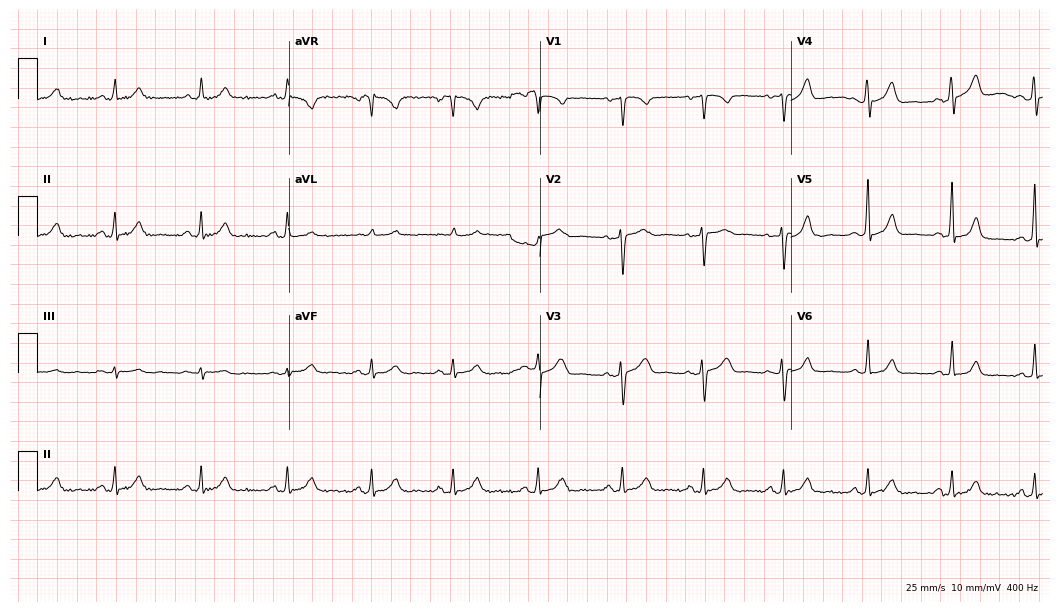
12-lead ECG from a 43-year-old female patient. Recorded interpretation: within normal limits.